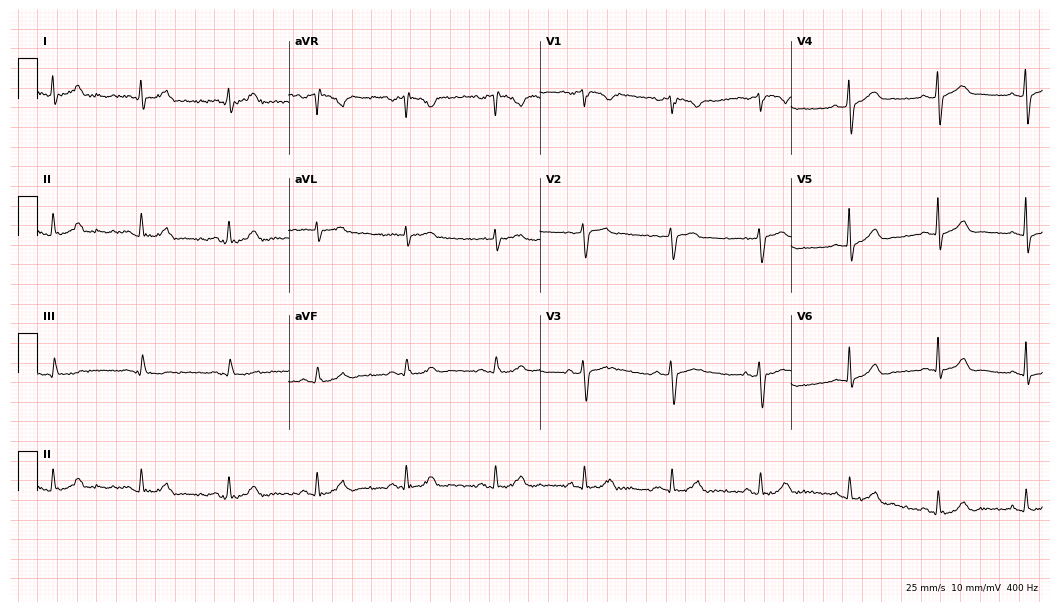
Resting 12-lead electrocardiogram (10.2-second recording at 400 Hz). Patient: a 56-year-old male. Read as a normal ECG.